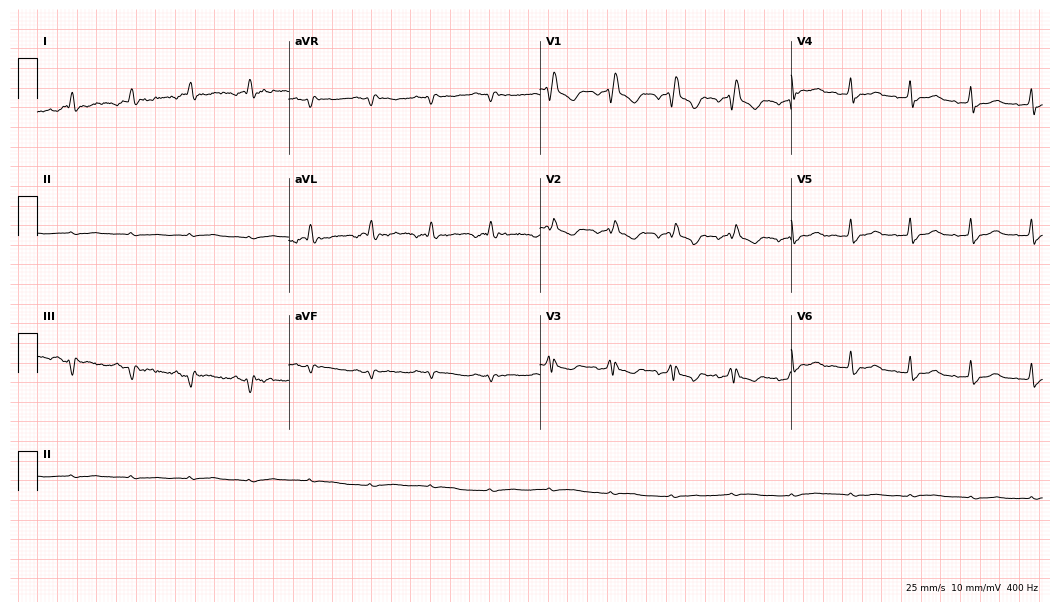
ECG (10.2-second recording at 400 Hz) — a male patient, 52 years old. Screened for six findings — first-degree AV block, right bundle branch block, left bundle branch block, sinus bradycardia, atrial fibrillation, sinus tachycardia — none is recorded. Only these six findings were labelled.